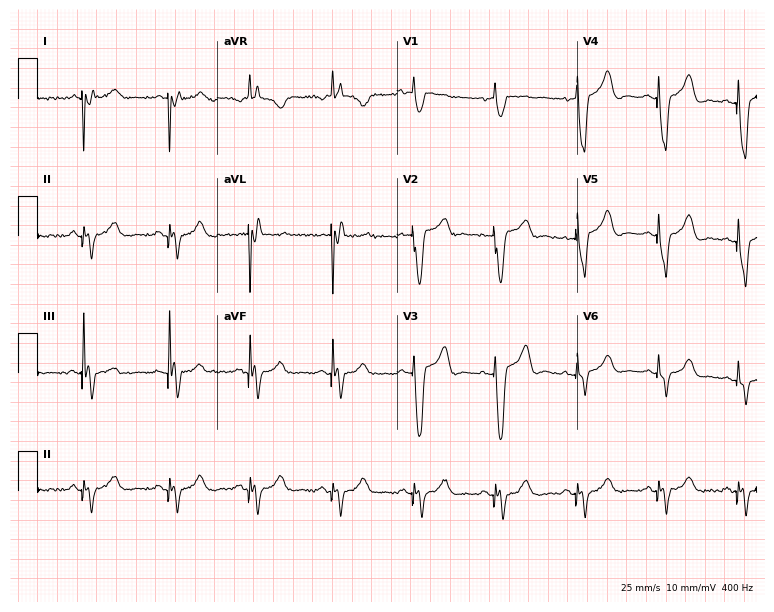
ECG (7.3-second recording at 400 Hz) — an 82-year-old female patient. Screened for six findings — first-degree AV block, right bundle branch block, left bundle branch block, sinus bradycardia, atrial fibrillation, sinus tachycardia — none is recorded. Only these six findings were labelled.